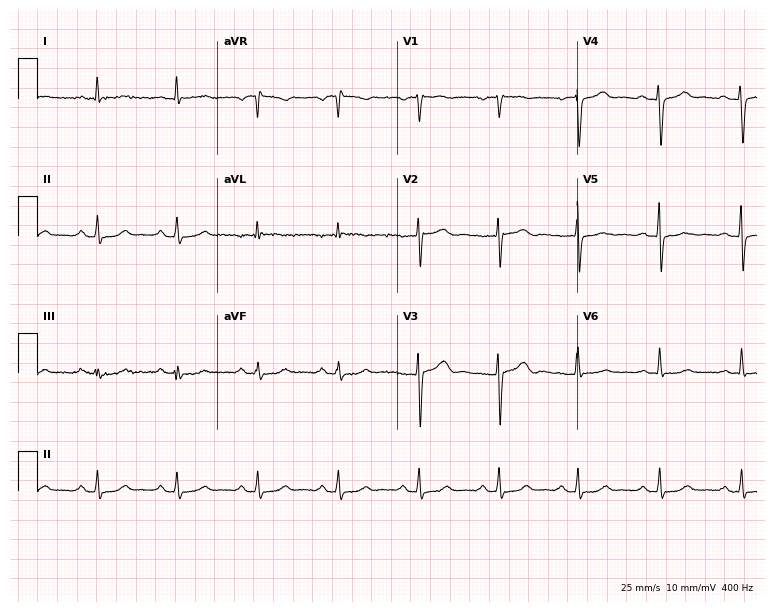
Standard 12-lead ECG recorded from a 44-year-old female patient (7.3-second recording at 400 Hz). Read as a normal ECG.